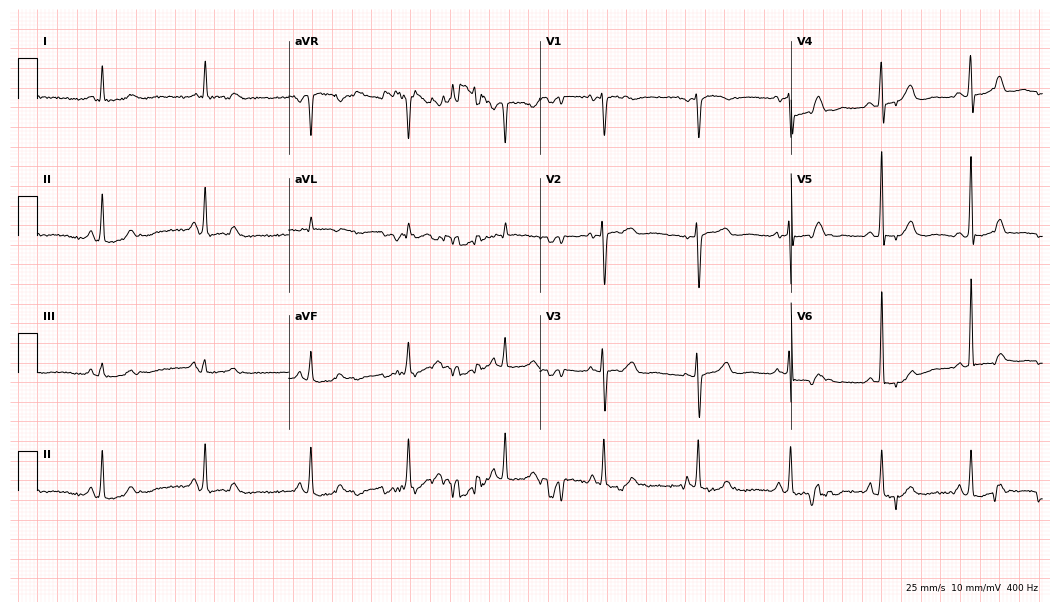
Electrocardiogram, a 50-year-old woman. Of the six screened findings (first-degree AV block, right bundle branch block, left bundle branch block, sinus bradycardia, atrial fibrillation, sinus tachycardia), none is recorded. Other findings, if any, are not listed.